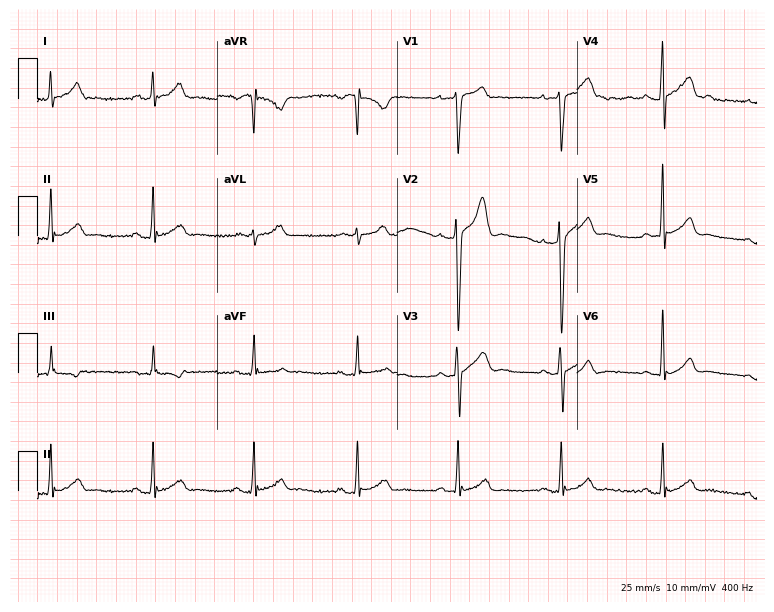
12-lead ECG from a male patient, 40 years old. Recorded interpretation: within normal limits.